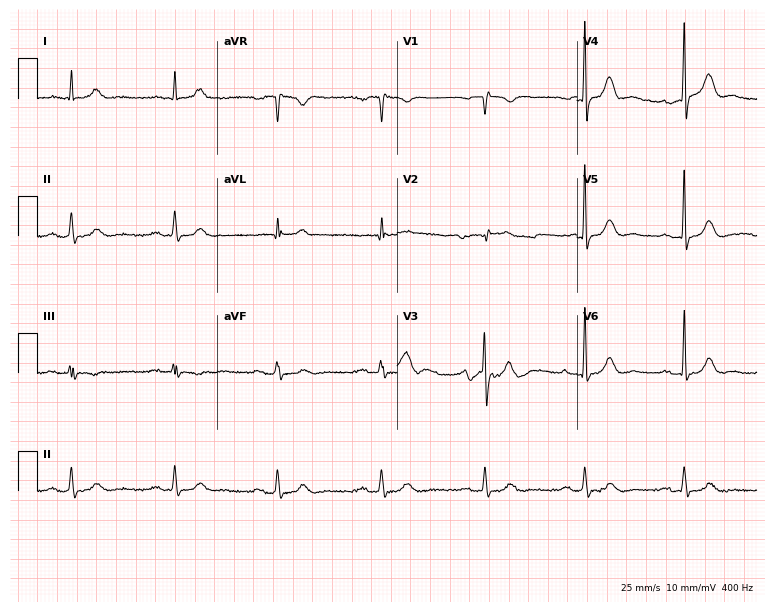
12-lead ECG from a 72-year-old male patient (7.3-second recording at 400 Hz). No first-degree AV block, right bundle branch block, left bundle branch block, sinus bradycardia, atrial fibrillation or sinus tachycardia recorded for this tracing. Only these six findings were labelled.